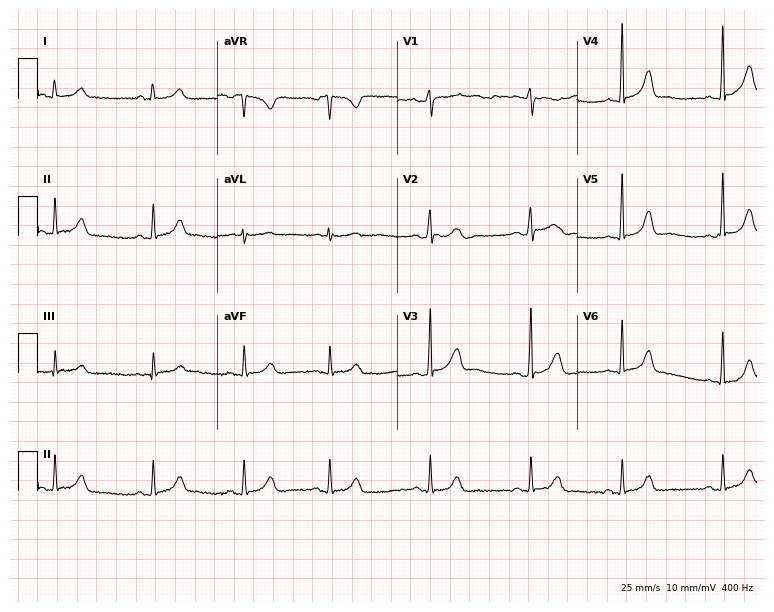
12-lead ECG from a female patient, 25 years old. Labelled as a normal ECG.